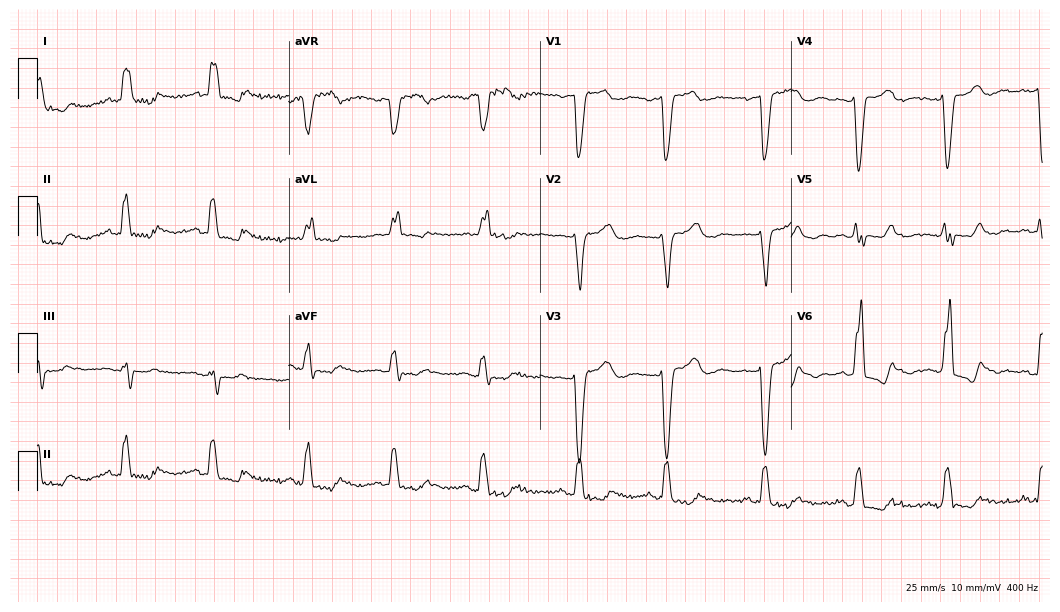
Resting 12-lead electrocardiogram (10.2-second recording at 400 Hz). Patient: a 79-year-old woman. The tracing shows left bundle branch block.